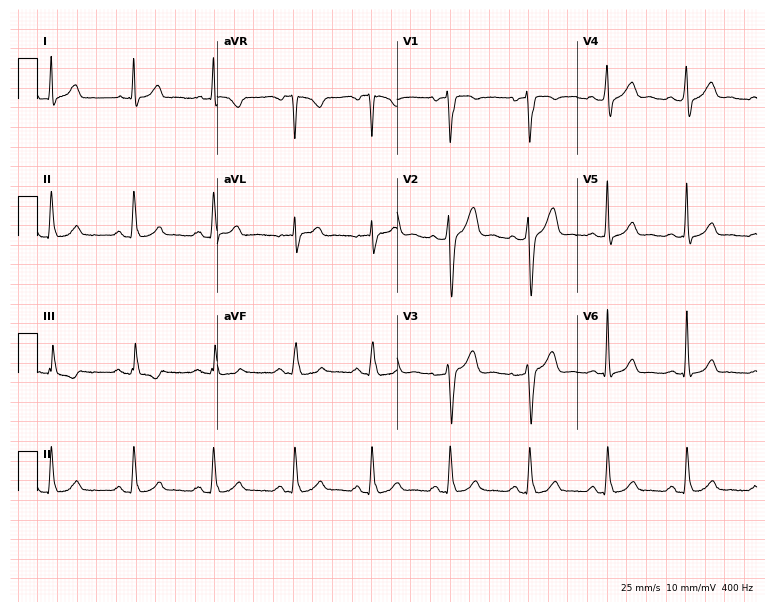
12-lead ECG from a male patient, 29 years old (7.3-second recording at 400 Hz). Recorded interpretation: within normal limits.